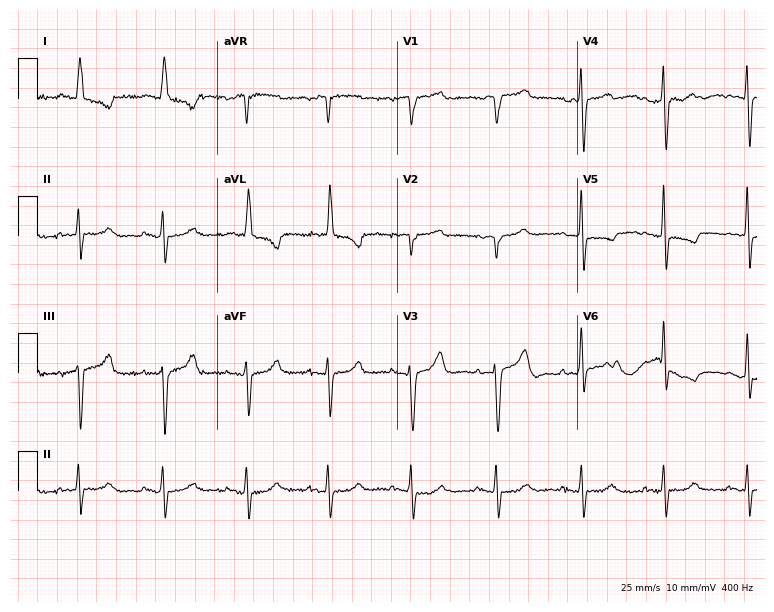
12-lead ECG (7.3-second recording at 400 Hz) from a woman, 47 years old. Screened for six findings — first-degree AV block, right bundle branch block, left bundle branch block, sinus bradycardia, atrial fibrillation, sinus tachycardia — none is recorded. Findings outside these six are not listed.